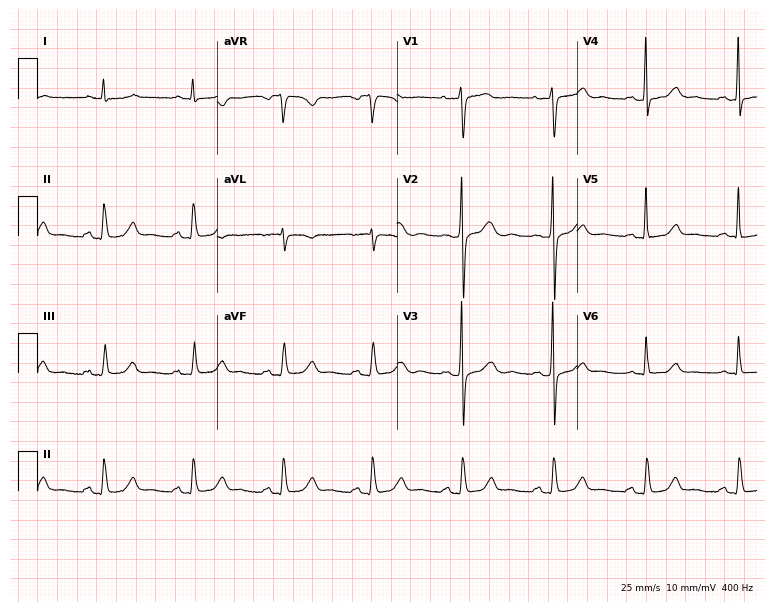
Electrocardiogram (7.3-second recording at 400 Hz), a woman, 54 years old. Overall reading on record: normal ECG.